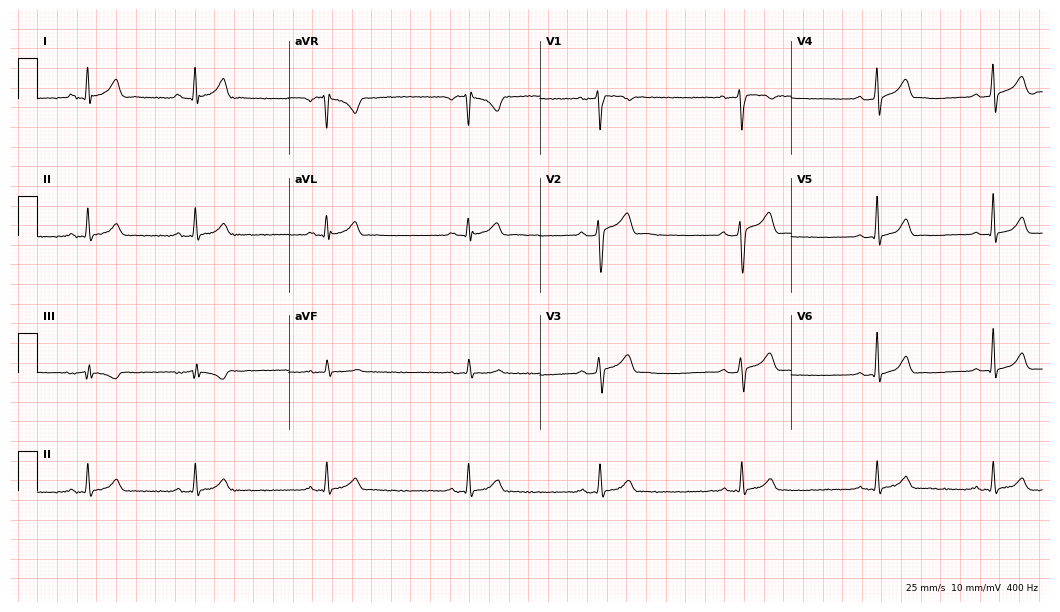
12-lead ECG from a 23-year-old man (10.2-second recording at 400 Hz). No first-degree AV block, right bundle branch block (RBBB), left bundle branch block (LBBB), sinus bradycardia, atrial fibrillation (AF) or sinus tachycardia recorded for this tracing.